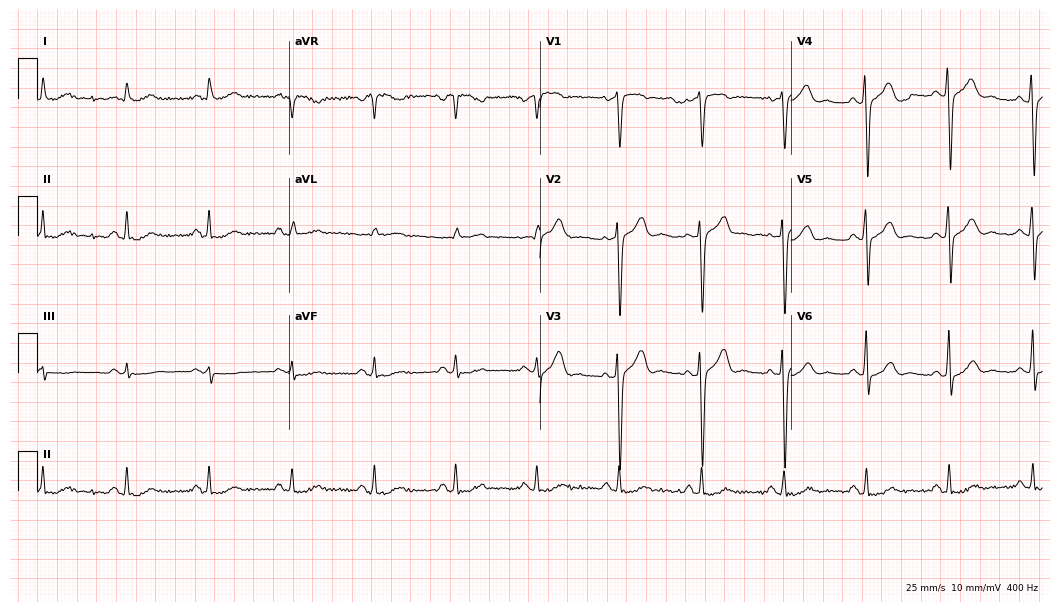
Standard 12-lead ECG recorded from a man, 57 years old. None of these six findings is recorded: first-degree AV block, right bundle branch block (RBBB), left bundle branch block (LBBB), sinus bradycardia, atrial fibrillation (AF), sinus tachycardia. Findings outside these six are not listed.